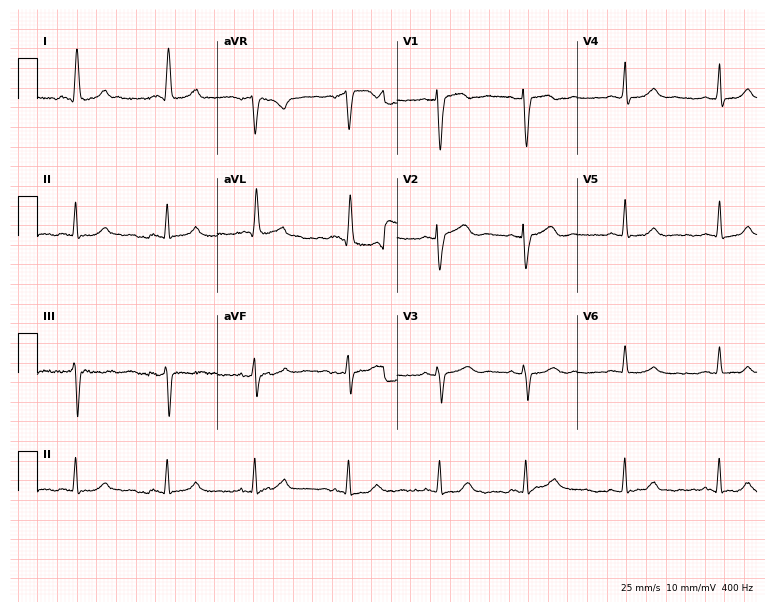
Electrocardiogram, a female patient, 45 years old. Overall reading on record: normal ECG.